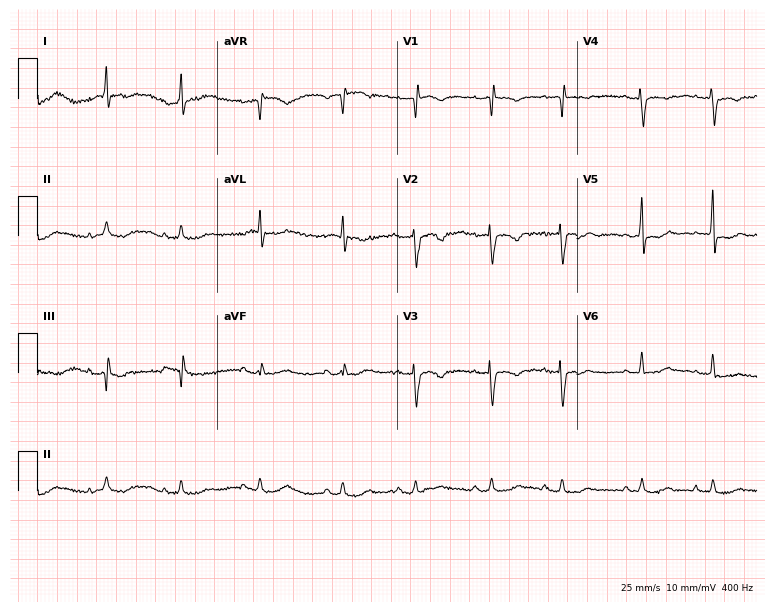
Standard 12-lead ECG recorded from a woman aged 90 or older (7.3-second recording at 400 Hz). None of these six findings is recorded: first-degree AV block, right bundle branch block (RBBB), left bundle branch block (LBBB), sinus bradycardia, atrial fibrillation (AF), sinus tachycardia.